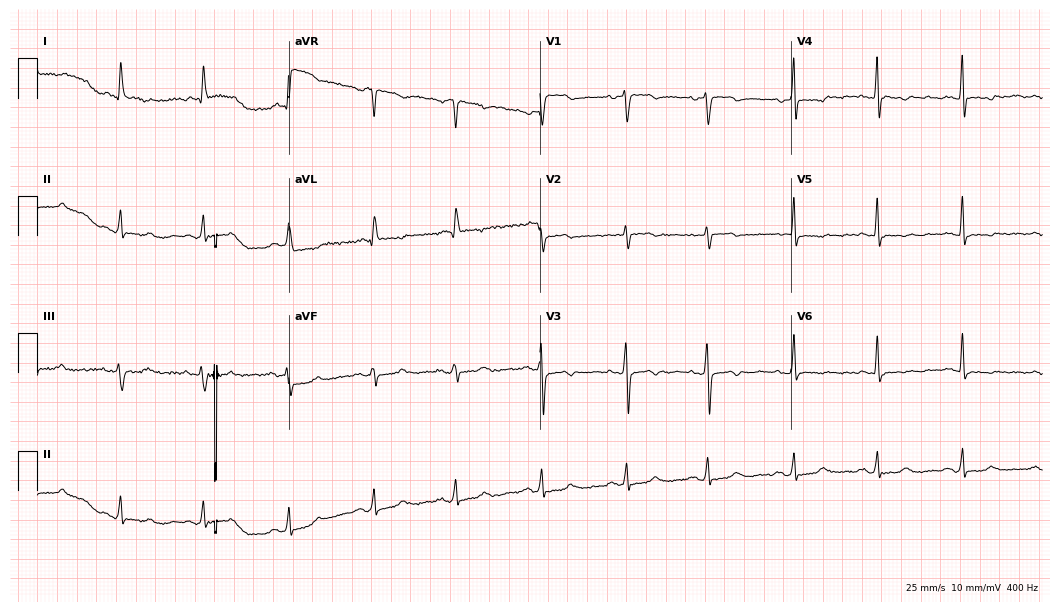
ECG (10.2-second recording at 400 Hz) — a male patient, 56 years old. Screened for six findings — first-degree AV block, right bundle branch block, left bundle branch block, sinus bradycardia, atrial fibrillation, sinus tachycardia — none is recorded.